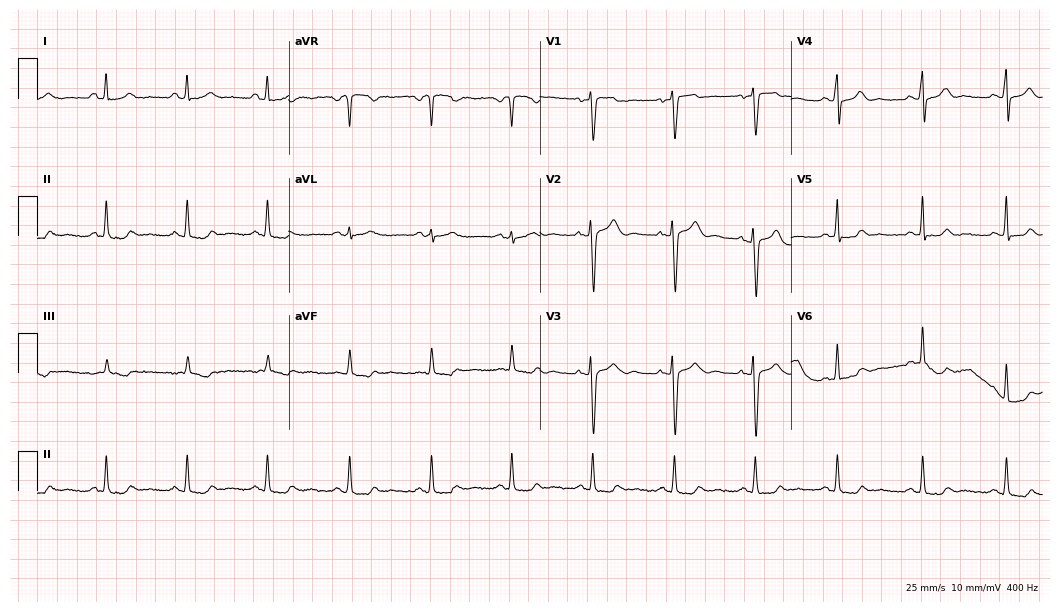
12-lead ECG from a female patient, 43 years old. Recorded interpretation: within normal limits.